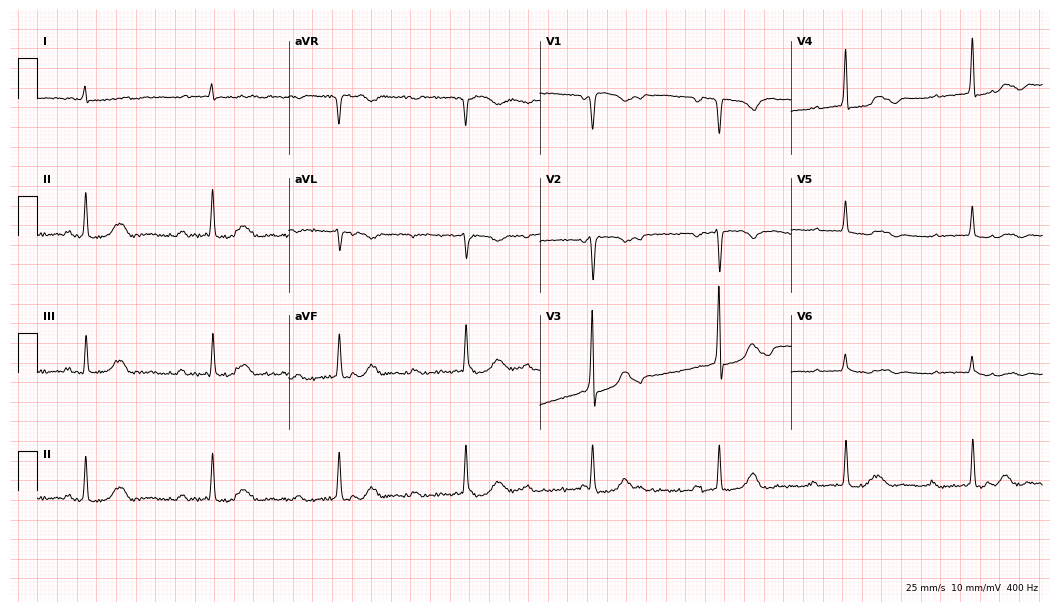
ECG — an 85-year-old woman. Screened for six findings — first-degree AV block, right bundle branch block (RBBB), left bundle branch block (LBBB), sinus bradycardia, atrial fibrillation (AF), sinus tachycardia — none is recorded. Only these six findings were labelled.